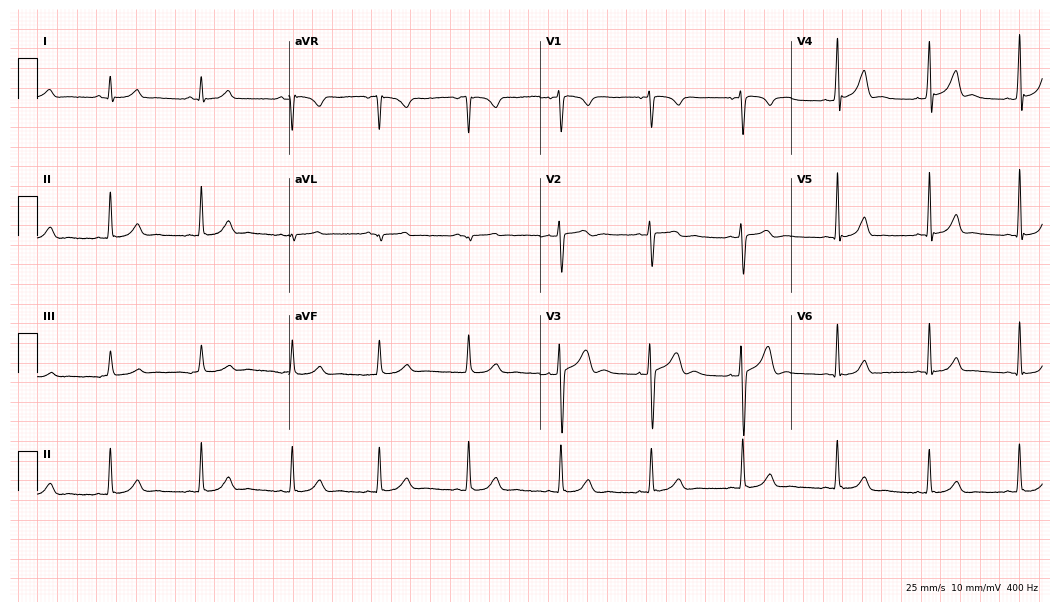
12-lead ECG from a 52-year-old man. No first-degree AV block, right bundle branch block (RBBB), left bundle branch block (LBBB), sinus bradycardia, atrial fibrillation (AF) or sinus tachycardia recorded for this tracing. Findings outside these six are not listed.